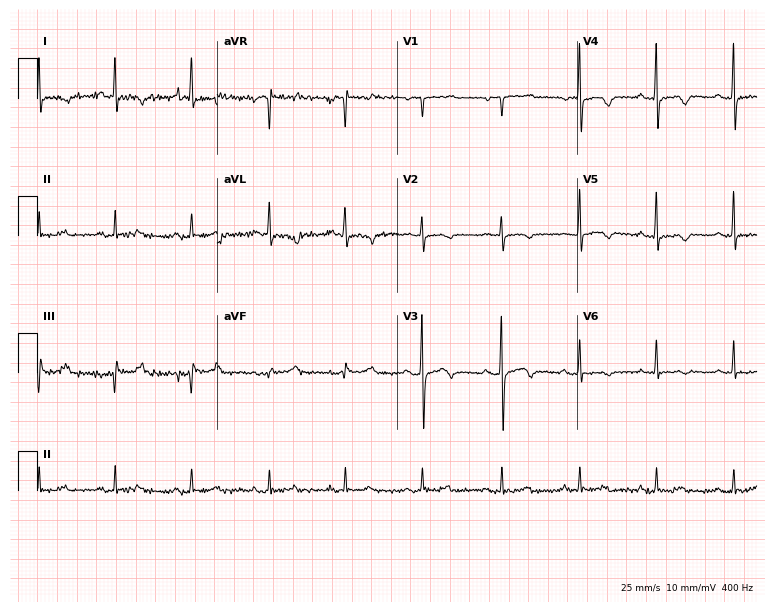
Electrocardiogram, a female patient, 77 years old. Of the six screened findings (first-degree AV block, right bundle branch block, left bundle branch block, sinus bradycardia, atrial fibrillation, sinus tachycardia), none is recorded.